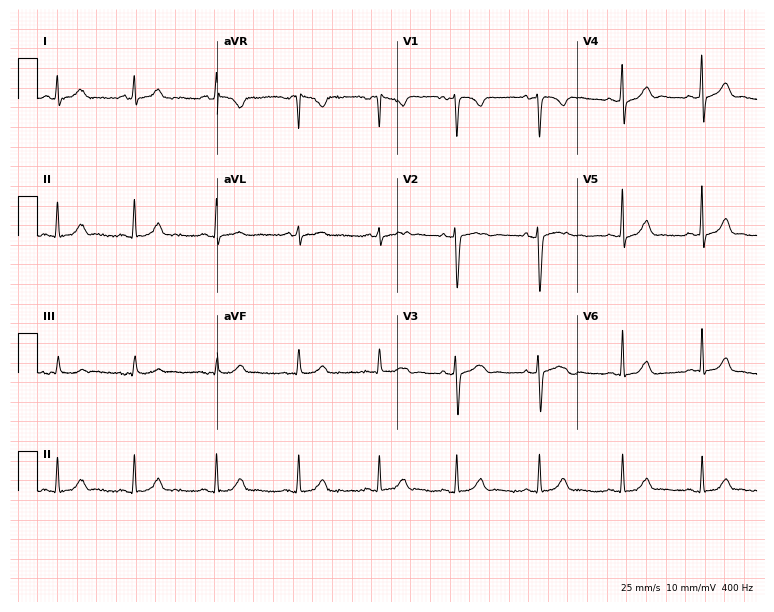
Resting 12-lead electrocardiogram. Patient: a female, 22 years old. None of these six findings is recorded: first-degree AV block, right bundle branch block, left bundle branch block, sinus bradycardia, atrial fibrillation, sinus tachycardia. Only these six findings were labelled.